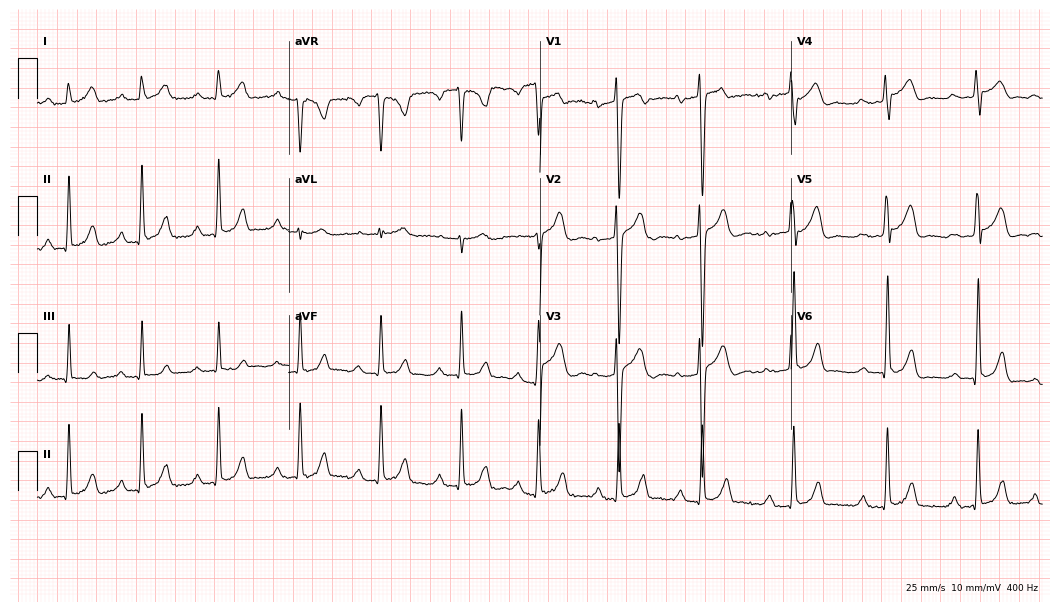
12-lead ECG from a 22-year-old male patient. Findings include first-degree AV block.